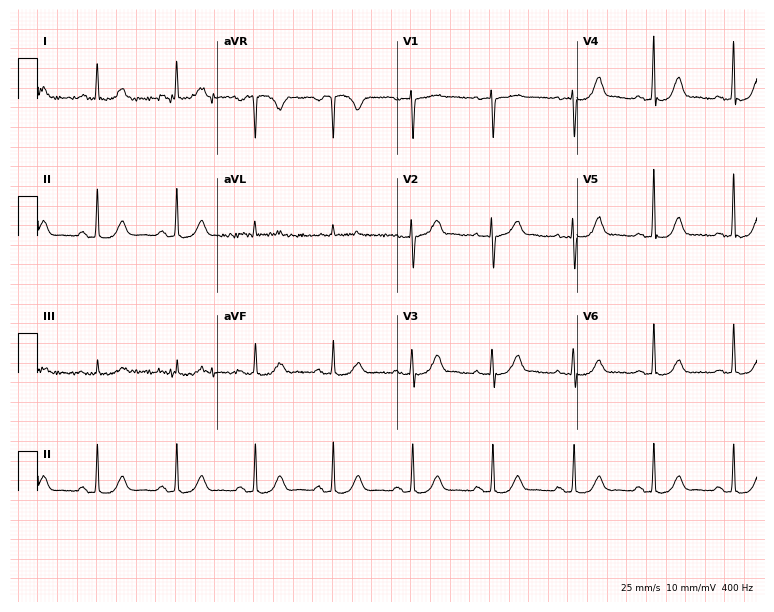
Electrocardiogram, a female patient, 53 years old. Of the six screened findings (first-degree AV block, right bundle branch block (RBBB), left bundle branch block (LBBB), sinus bradycardia, atrial fibrillation (AF), sinus tachycardia), none is recorded.